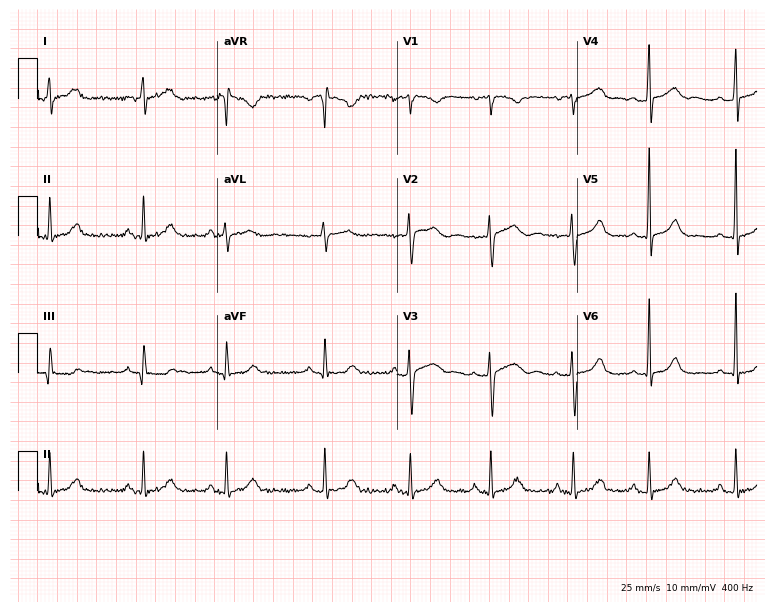
12-lead ECG from a 27-year-old female. Labelled as a normal ECG.